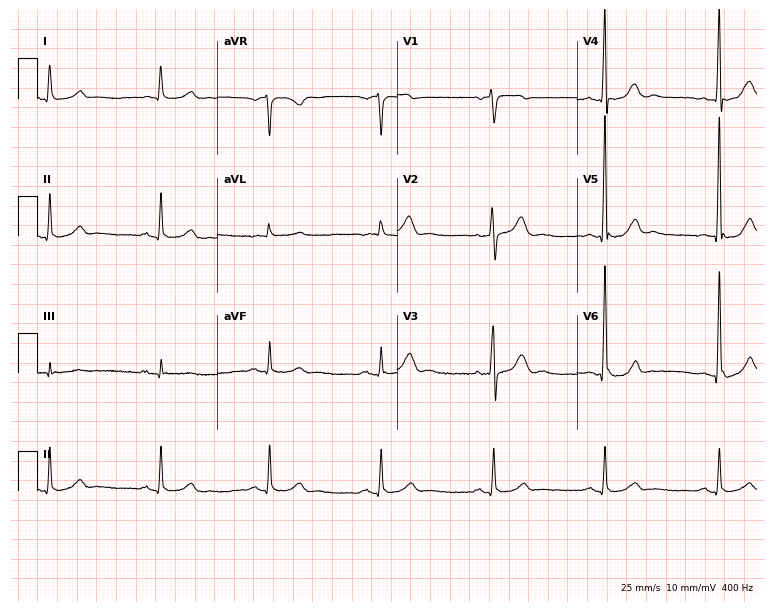
12-lead ECG from a 70-year-old man (7.3-second recording at 400 Hz). Recorded interpretation: within normal limits.